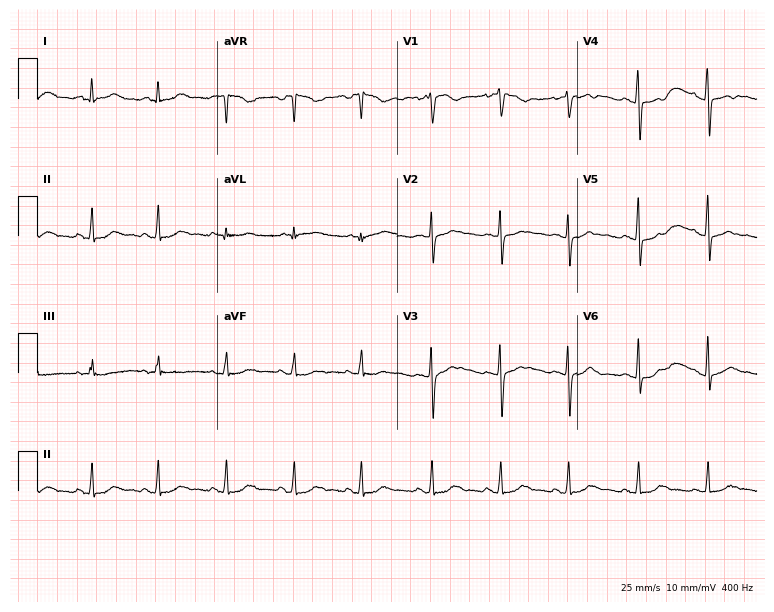
ECG (7.3-second recording at 400 Hz) — a female patient, 25 years old. Labelled as a normal ECG.